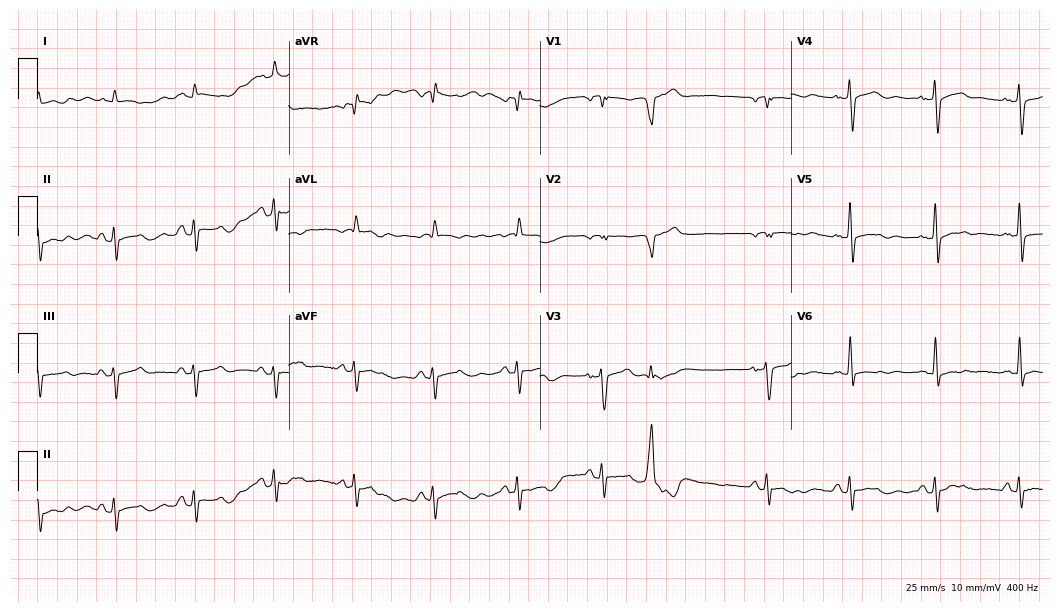
12-lead ECG from a 69-year-old male patient (10.2-second recording at 400 Hz). No first-degree AV block, right bundle branch block, left bundle branch block, sinus bradycardia, atrial fibrillation or sinus tachycardia recorded for this tracing. Other findings, if any, are not listed.